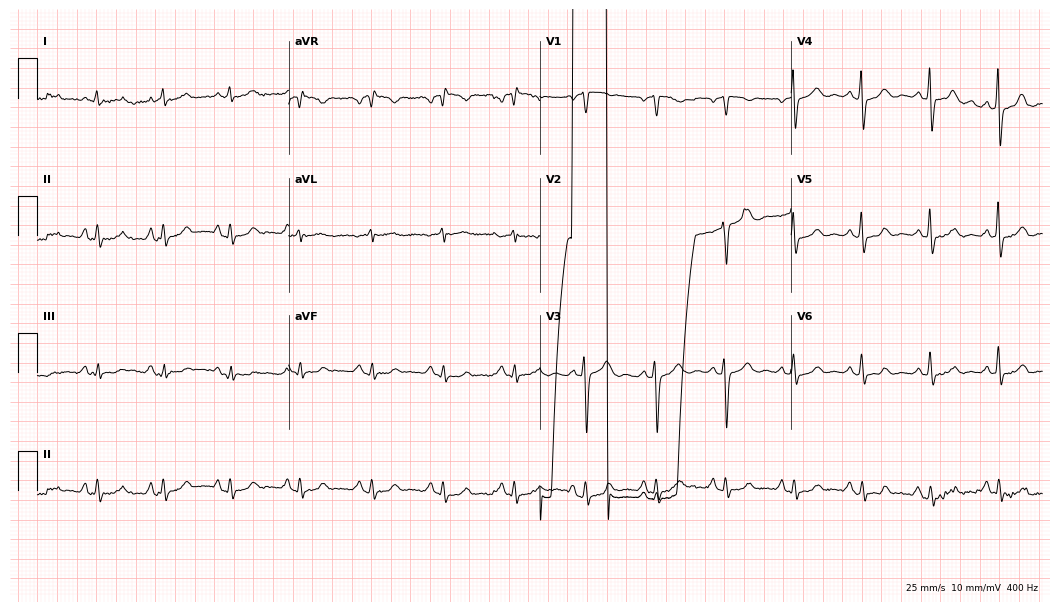
Resting 12-lead electrocardiogram (10.2-second recording at 400 Hz). Patient: a 64-year-old female. None of these six findings is recorded: first-degree AV block, right bundle branch block (RBBB), left bundle branch block (LBBB), sinus bradycardia, atrial fibrillation (AF), sinus tachycardia.